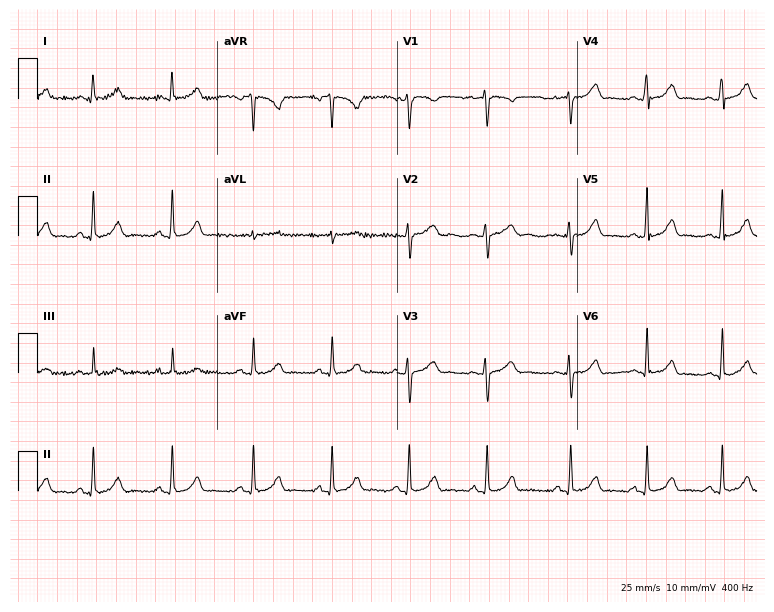
12-lead ECG from a female, 17 years old (7.3-second recording at 400 Hz). Recorded interpretation: within normal limits.